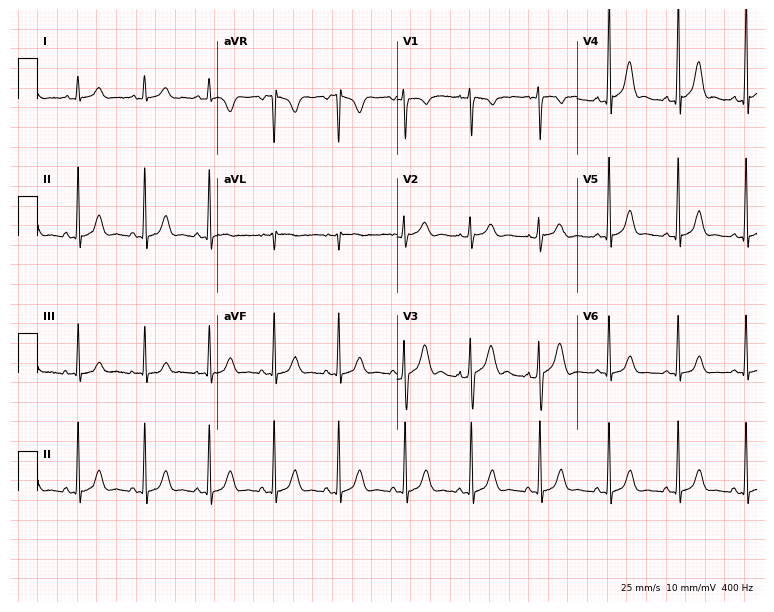
12-lead ECG from a 29-year-old man (7.3-second recording at 400 Hz). No first-degree AV block, right bundle branch block (RBBB), left bundle branch block (LBBB), sinus bradycardia, atrial fibrillation (AF) or sinus tachycardia recorded for this tracing. Other findings, if any, are not listed.